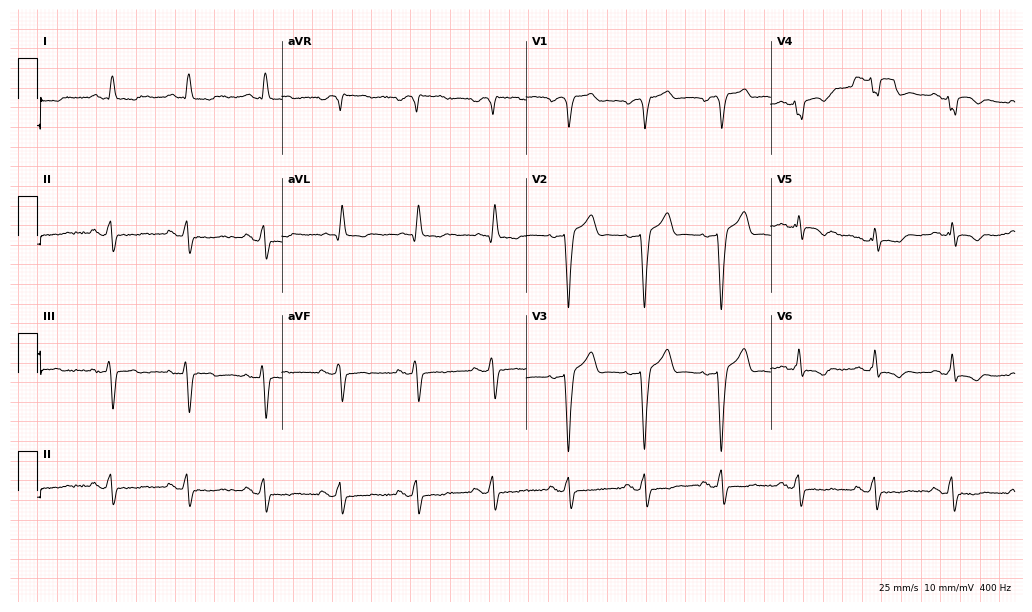
Standard 12-lead ECG recorded from a male, 76 years old (10-second recording at 400 Hz). None of these six findings is recorded: first-degree AV block, right bundle branch block, left bundle branch block, sinus bradycardia, atrial fibrillation, sinus tachycardia. Other findings, if any, are not listed.